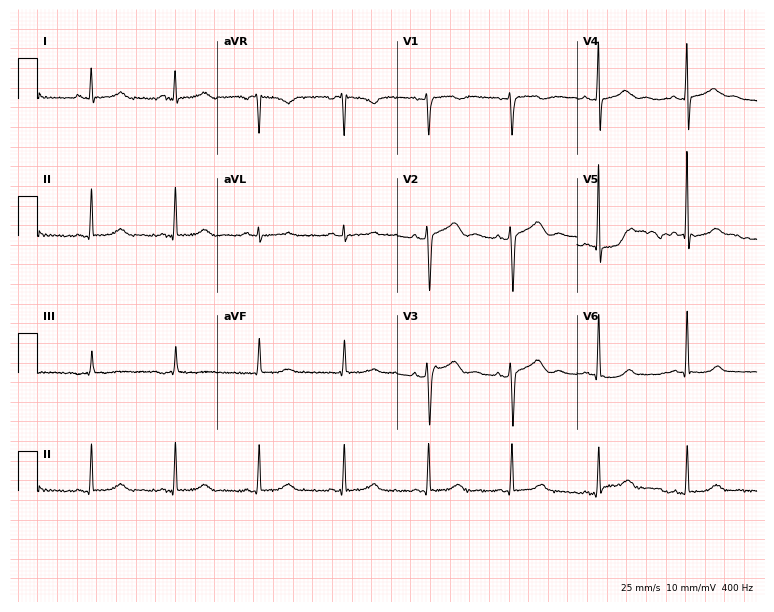
12-lead ECG from a 47-year-old female patient. Labelled as a normal ECG.